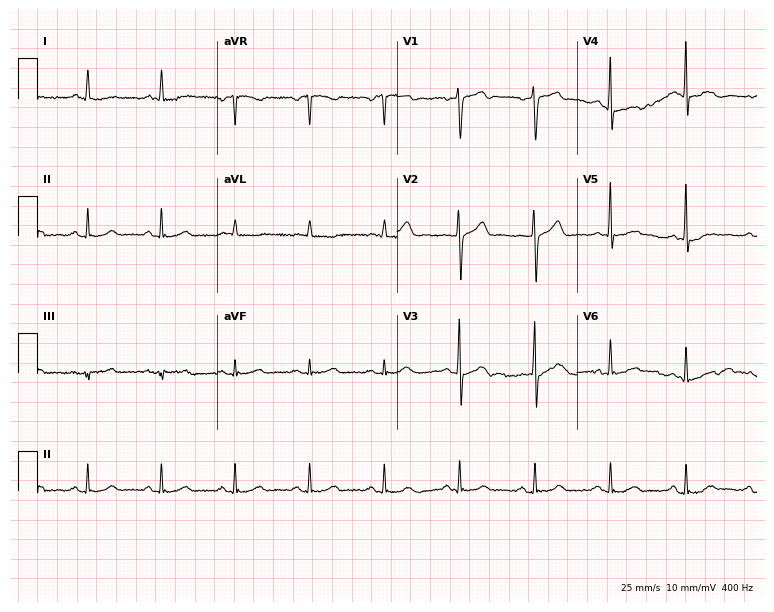
Standard 12-lead ECG recorded from a male, 64 years old. None of these six findings is recorded: first-degree AV block, right bundle branch block, left bundle branch block, sinus bradycardia, atrial fibrillation, sinus tachycardia.